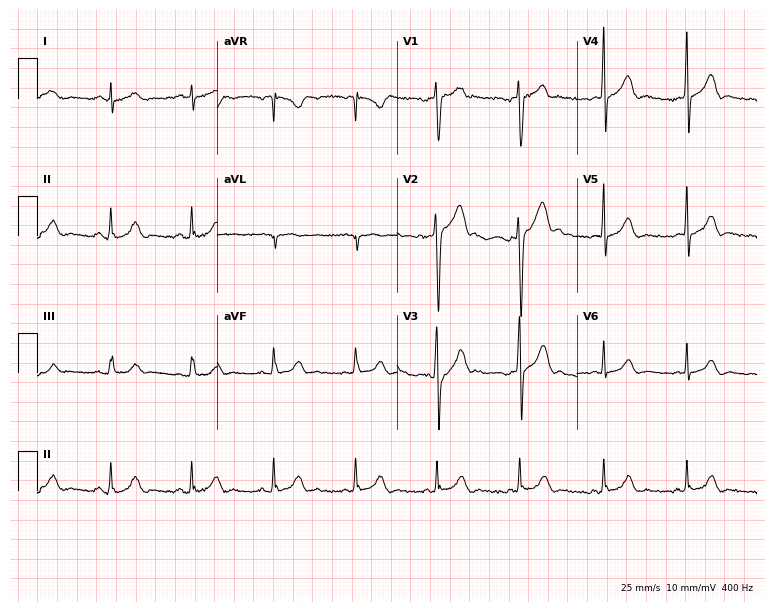
ECG — a 20-year-old male patient. Screened for six findings — first-degree AV block, right bundle branch block, left bundle branch block, sinus bradycardia, atrial fibrillation, sinus tachycardia — none is recorded.